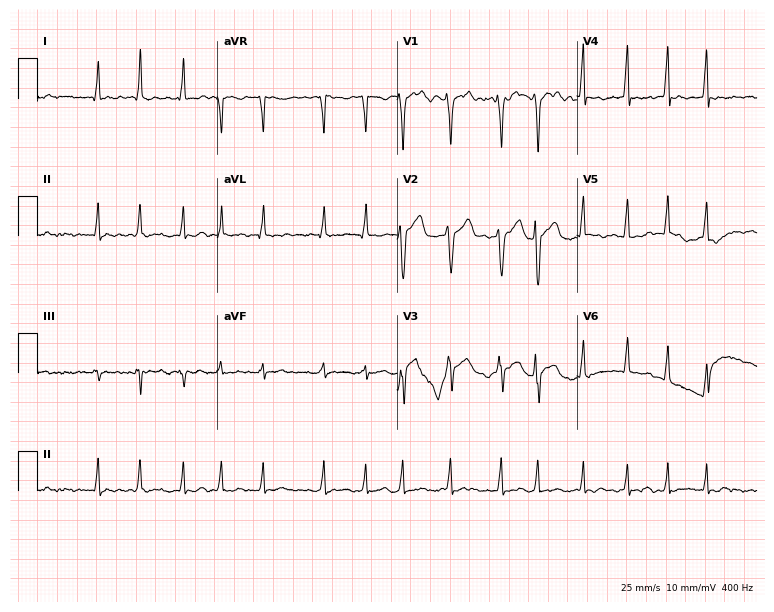
Standard 12-lead ECG recorded from a male, 39 years old. The tracing shows atrial fibrillation.